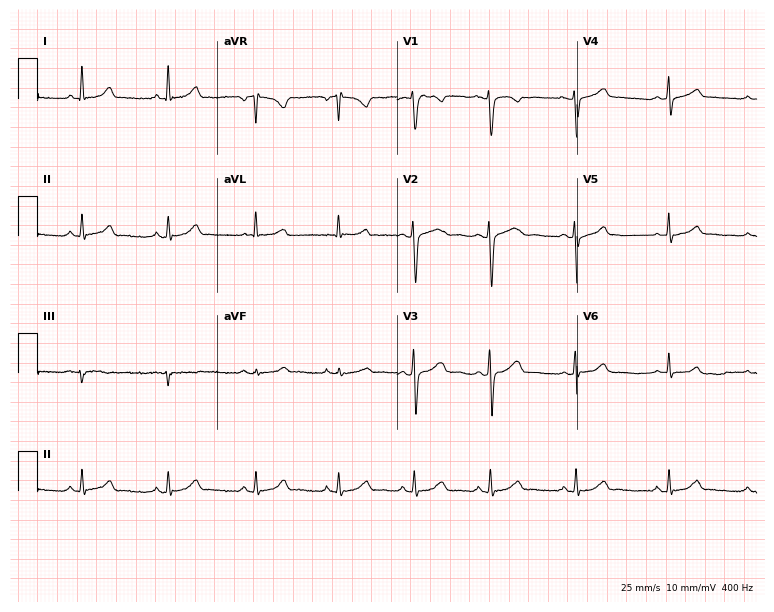
Electrocardiogram (7.3-second recording at 400 Hz), a 34-year-old female patient. Of the six screened findings (first-degree AV block, right bundle branch block, left bundle branch block, sinus bradycardia, atrial fibrillation, sinus tachycardia), none is recorded. Findings outside these six are not listed.